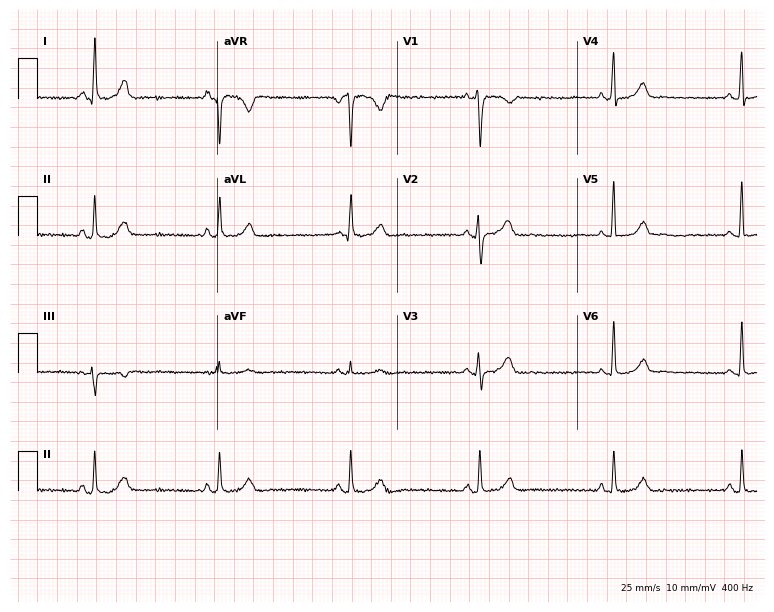
12-lead ECG from a female patient, 34 years old (7.3-second recording at 400 Hz). Shows sinus bradycardia (a sinus rate of 50 beats per minute or less).